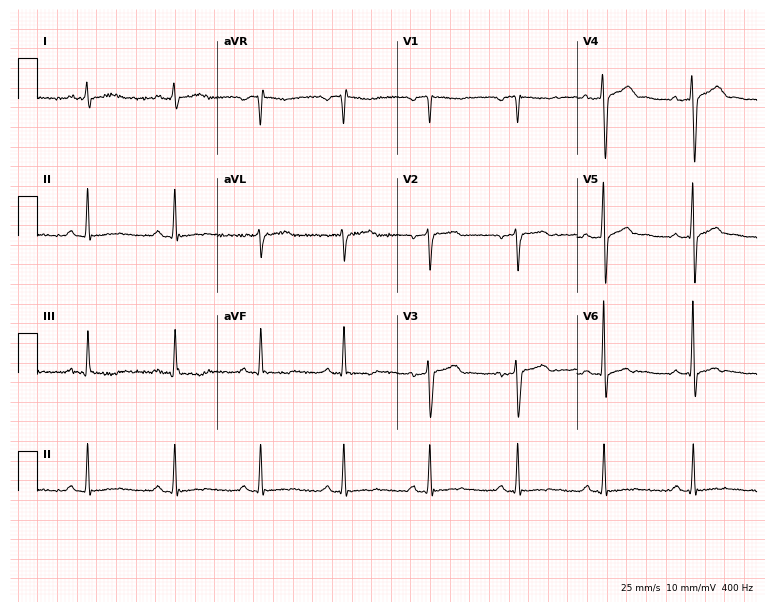
Electrocardiogram, a male patient, 49 years old. Of the six screened findings (first-degree AV block, right bundle branch block, left bundle branch block, sinus bradycardia, atrial fibrillation, sinus tachycardia), none is recorded. Only these six findings were labelled.